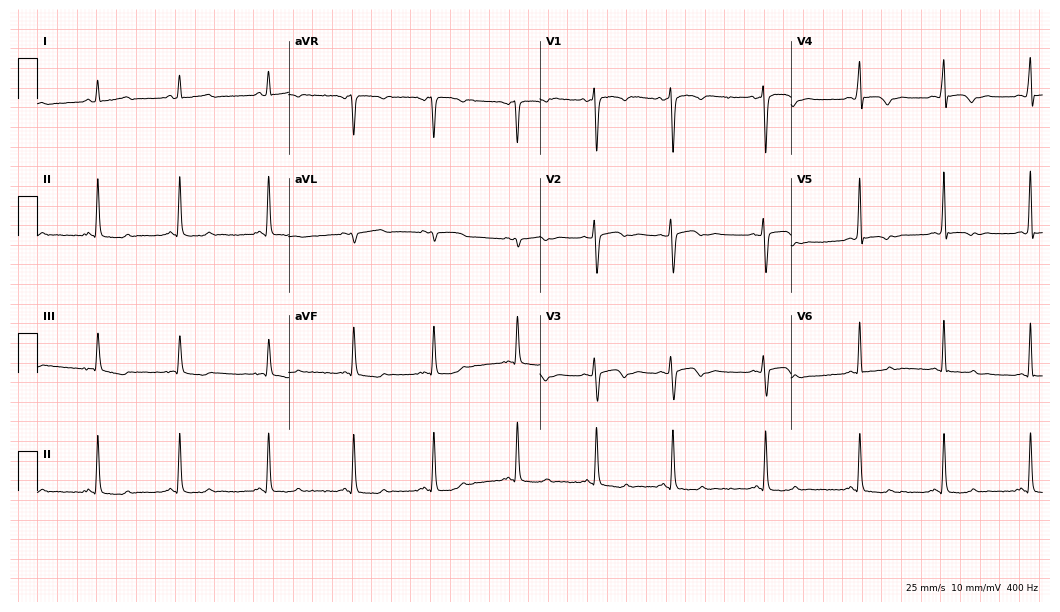
ECG — a man, 46 years old. Screened for six findings — first-degree AV block, right bundle branch block, left bundle branch block, sinus bradycardia, atrial fibrillation, sinus tachycardia — none is recorded. Only these six findings were labelled.